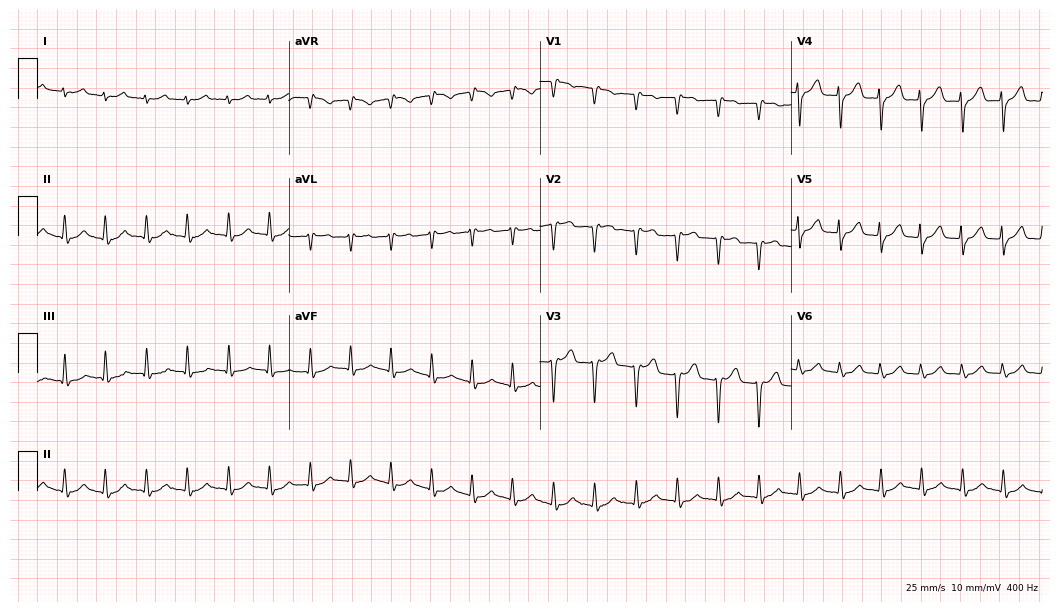
12-lead ECG from a woman, 84 years old (10.2-second recording at 400 Hz). Shows sinus tachycardia (a sinus rate of 100 beats per minute or more).